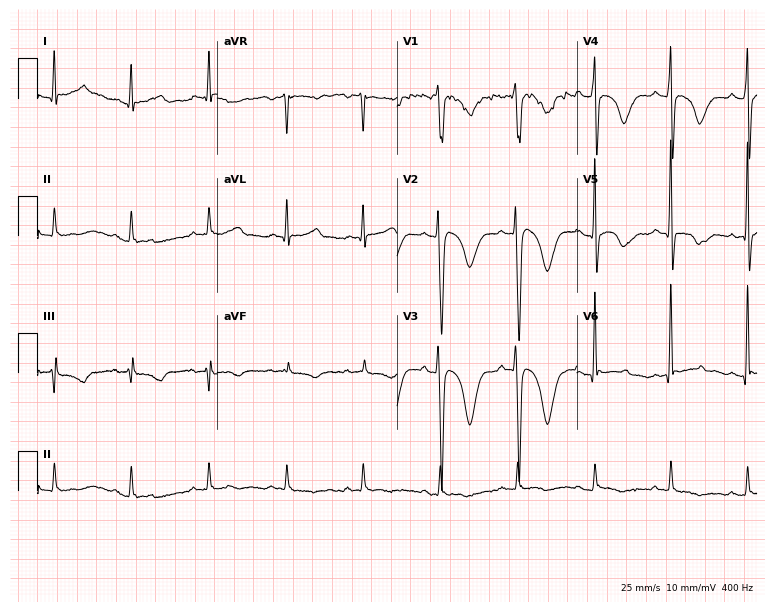
Electrocardiogram, a 53-year-old man. Of the six screened findings (first-degree AV block, right bundle branch block (RBBB), left bundle branch block (LBBB), sinus bradycardia, atrial fibrillation (AF), sinus tachycardia), none is recorded.